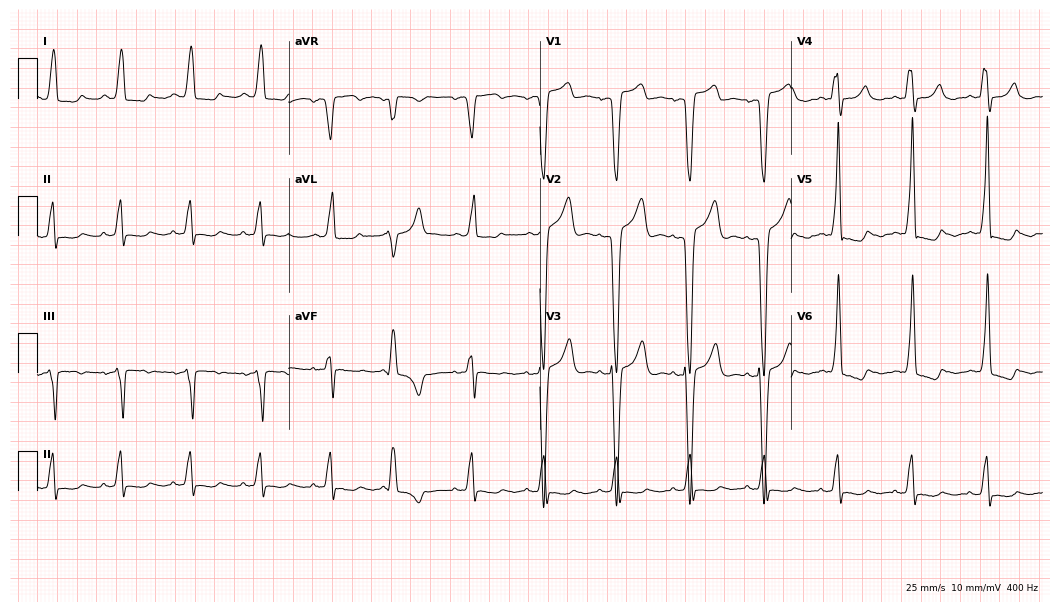
12-lead ECG (10.2-second recording at 400 Hz) from a female, 61 years old. Findings include left bundle branch block.